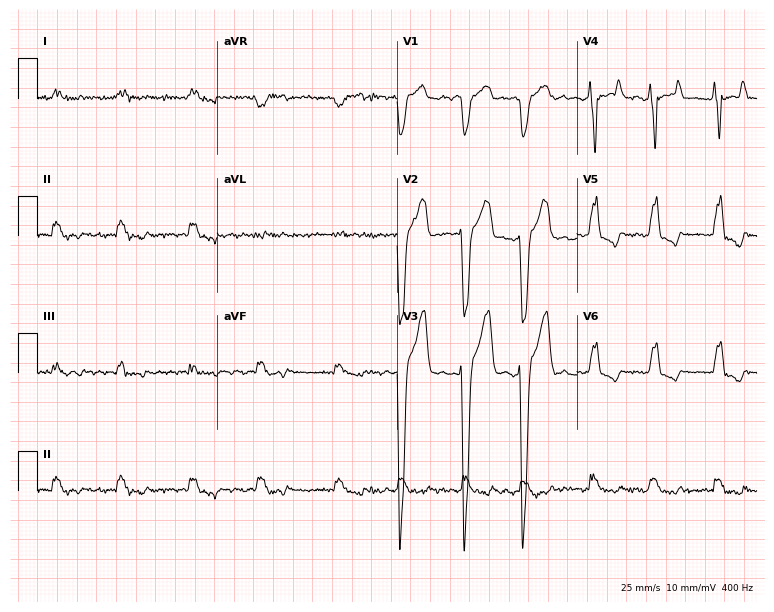
12-lead ECG (7.3-second recording at 400 Hz) from a 74-year-old man. Findings include left bundle branch block, atrial fibrillation.